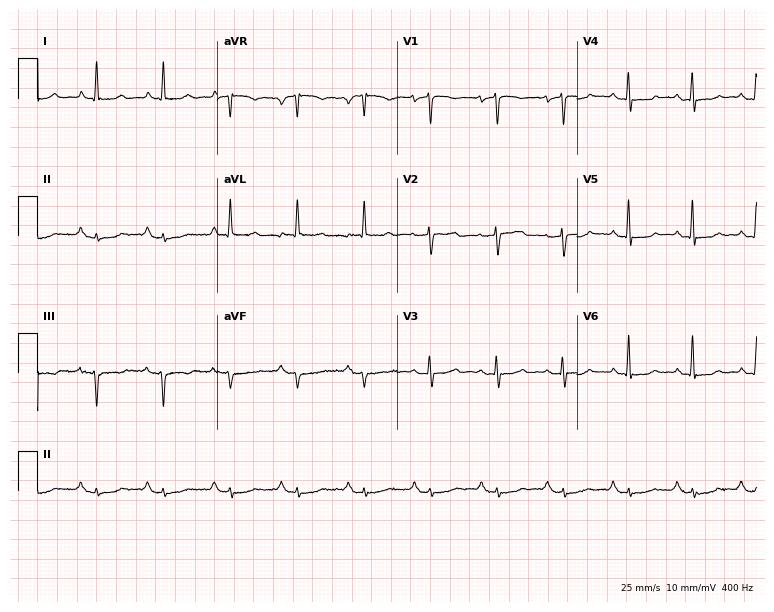
12-lead ECG (7.3-second recording at 400 Hz) from a 70-year-old male. Screened for six findings — first-degree AV block, right bundle branch block, left bundle branch block, sinus bradycardia, atrial fibrillation, sinus tachycardia — none is recorded. Only these six findings were labelled.